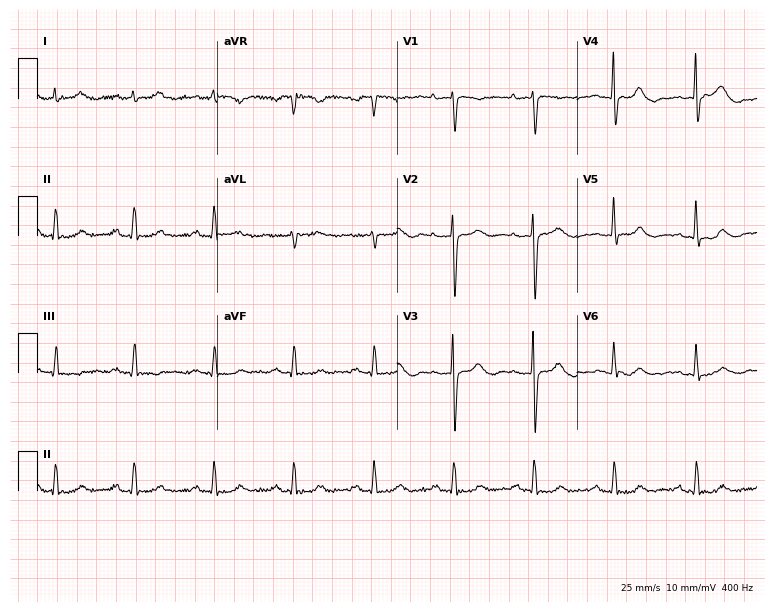
12-lead ECG from a female patient, 83 years old. Screened for six findings — first-degree AV block, right bundle branch block, left bundle branch block, sinus bradycardia, atrial fibrillation, sinus tachycardia — none is recorded. Findings outside these six are not listed.